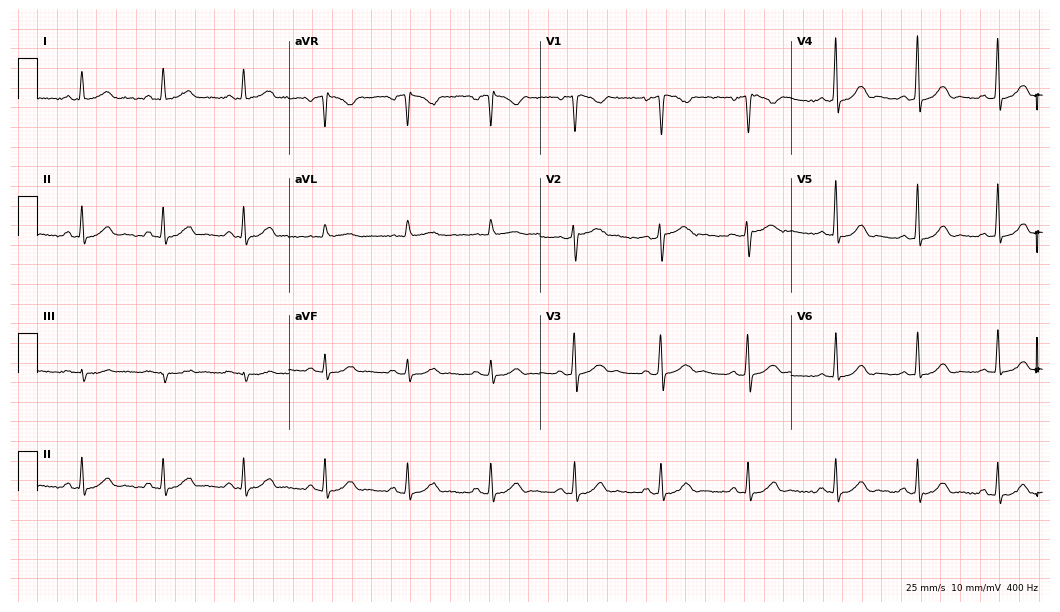
Standard 12-lead ECG recorded from a 42-year-old male. Read as a normal ECG.